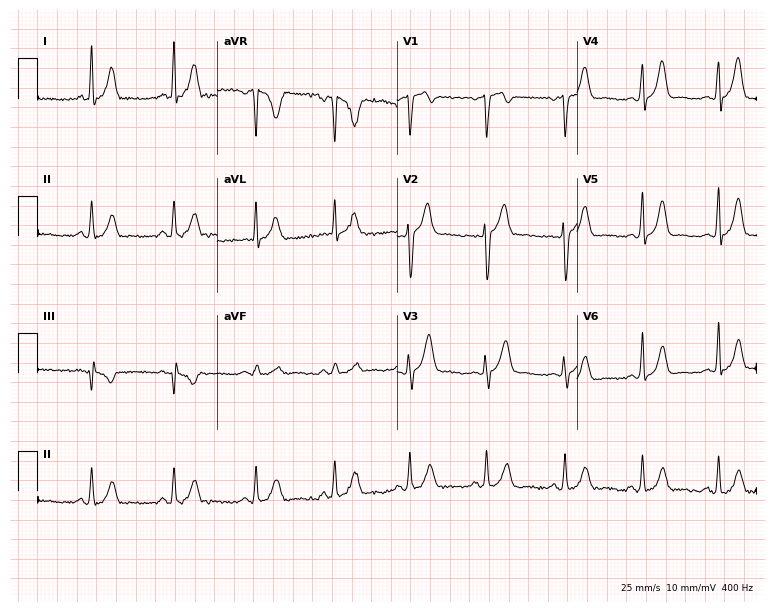
Resting 12-lead electrocardiogram. Patient: a 30-year-old female. None of these six findings is recorded: first-degree AV block, right bundle branch block, left bundle branch block, sinus bradycardia, atrial fibrillation, sinus tachycardia. Findings outside these six are not listed.